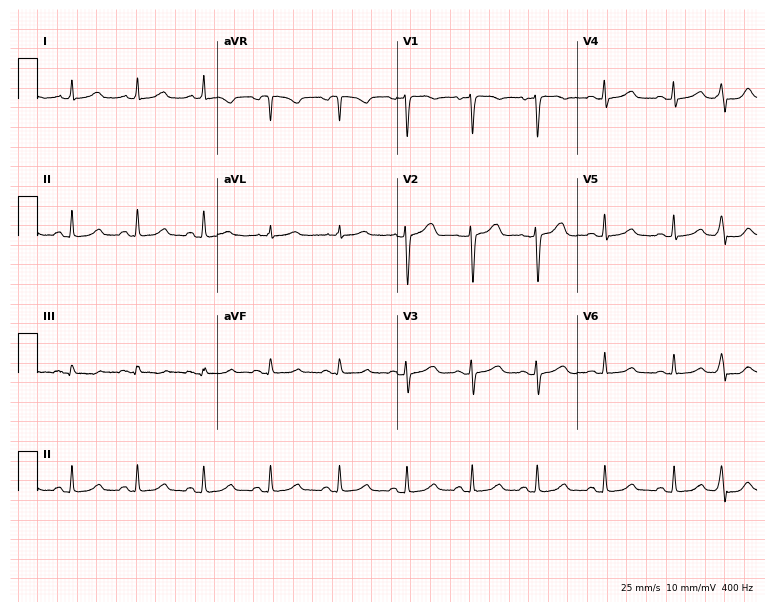
ECG (7.3-second recording at 400 Hz) — a 41-year-old woman. Labelled as a normal ECG.